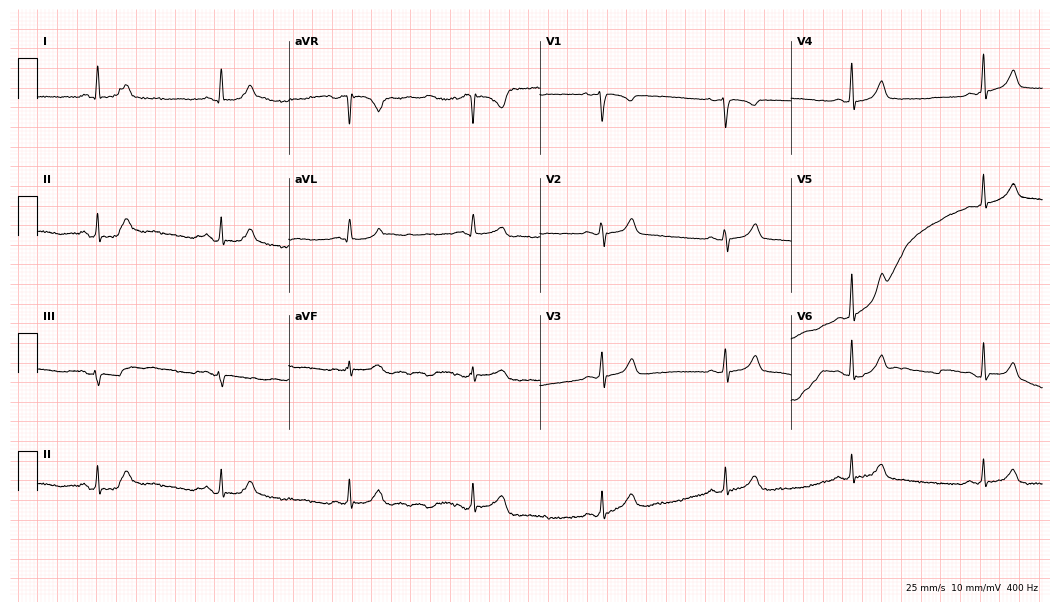
ECG — a female patient, 37 years old. Screened for six findings — first-degree AV block, right bundle branch block, left bundle branch block, sinus bradycardia, atrial fibrillation, sinus tachycardia — none is recorded.